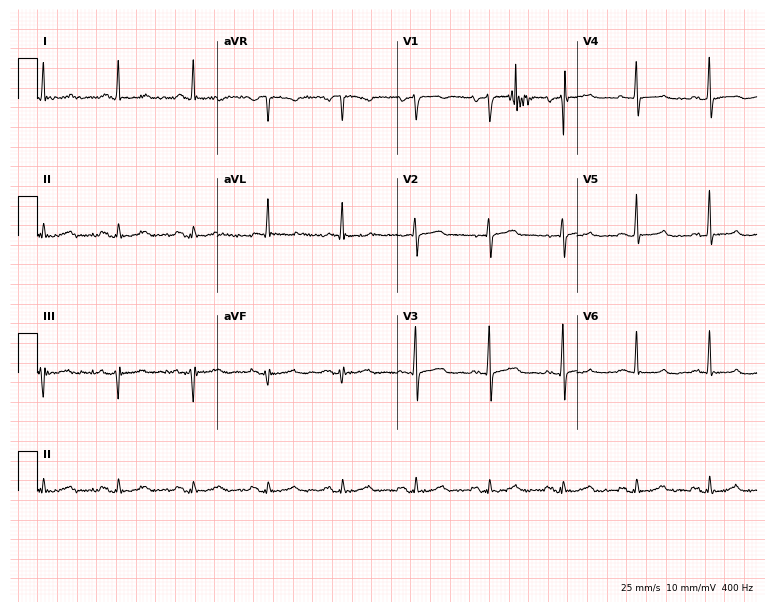
ECG — a female patient, 64 years old. Screened for six findings — first-degree AV block, right bundle branch block, left bundle branch block, sinus bradycardia, atrial fibrillation, sinus tachycardia — none is recorded.